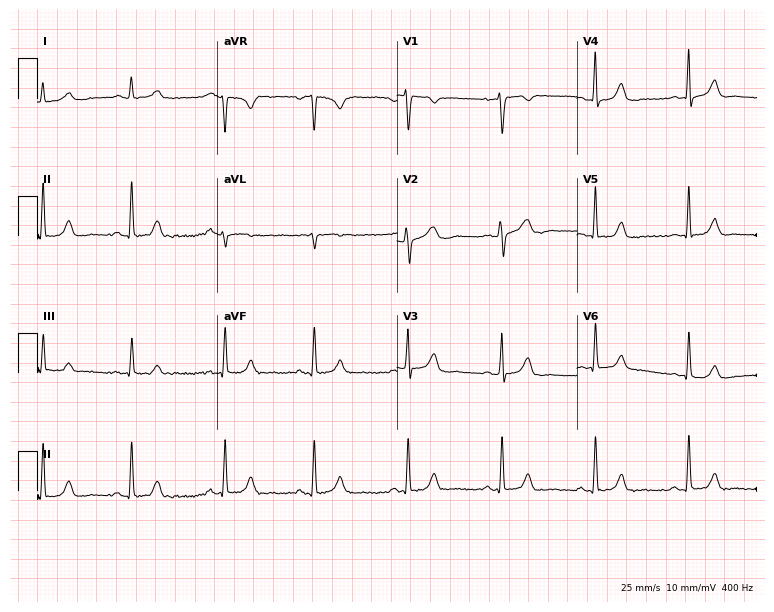
12-lead ECG from a female, 43 years old. No first-degree AV block, right bundle branch block, left bundle branch block, sinus bradycardia, atrial fibrillation or sinus tachycardia recorded for this tracing. Findings outside these six are not listed.